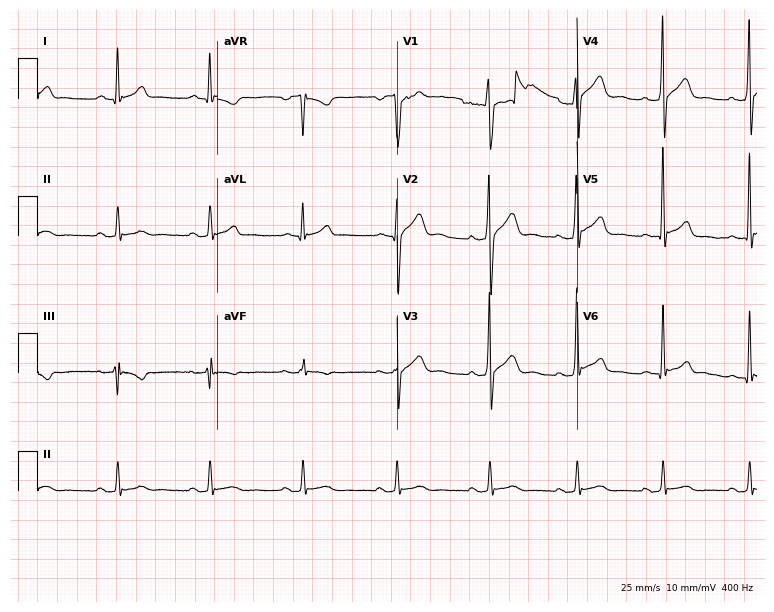
Electrocardiogram, a man, 35 years old. Overall reading on record: normal ECG.